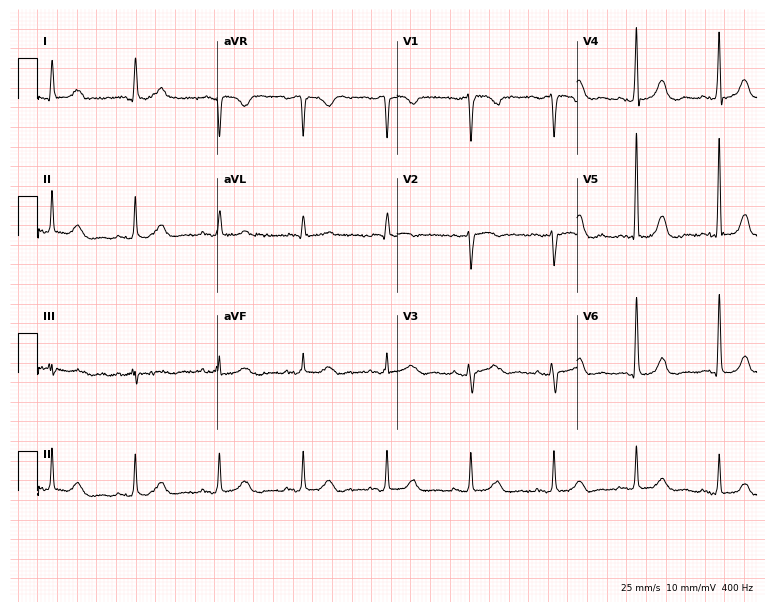
Standard 12-lead ECG recorded from a female patient, 64 years old (7.3-second recording at 400 Hz). None of these six findings is recorded: first-degree AV block, right bundle branch block, left bundle branch block, sinus bradycardia, atrial fibrillation, sinus tachycardia. Other findings, if any, are not listed.